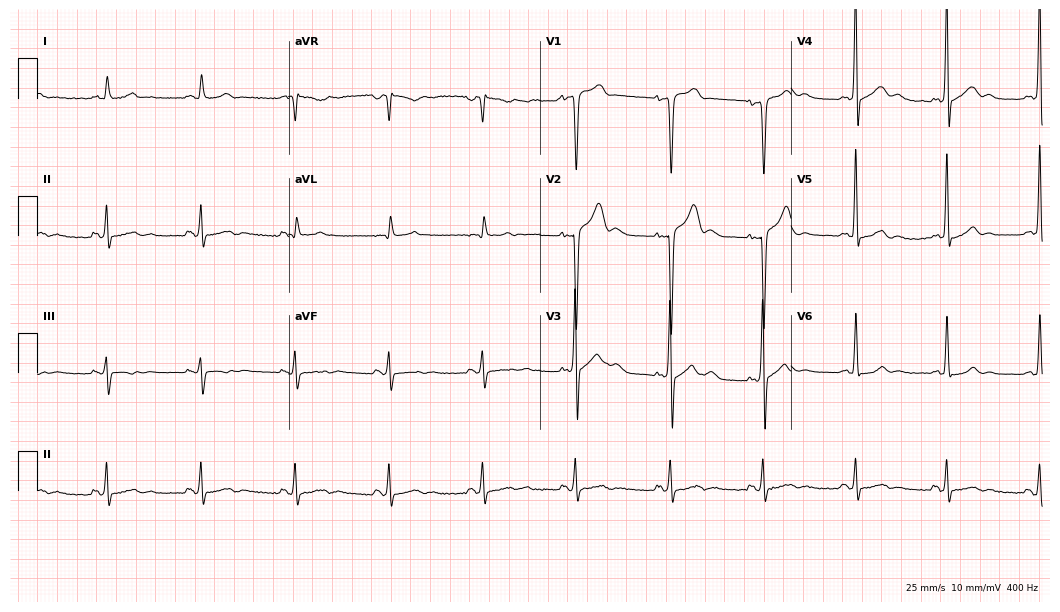
Resting 12-lead electrocardiogram. Patient: a 33-year-old male. Read as a normal ECG.